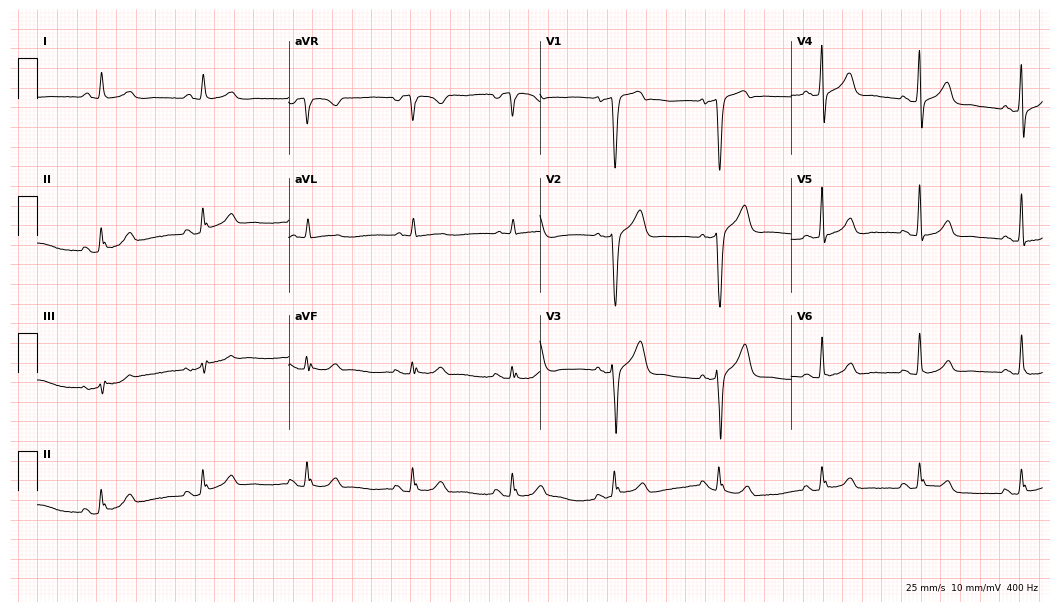
Resting 12-lead electrocardiogram. Patient: a 45-year-old male. Read as a normal ECG.